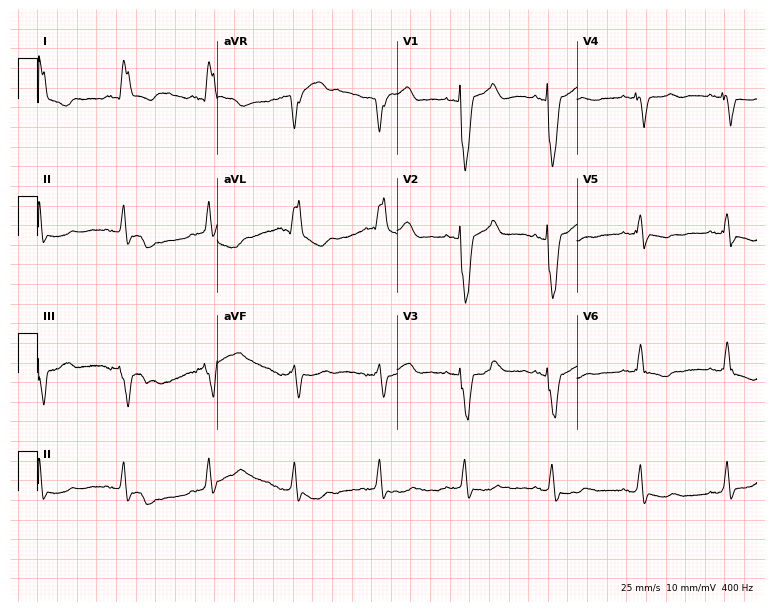
12-lead ECG from a 77-year-old woman (7.3-second recording at 400 Hz). No first-degree AV block, right bundle branch block (RBBB), left bundle branch block (LBBB), sinus bradycardia, atrial fibrillation (AF) or sinus tachycardia recorded for this tracing.